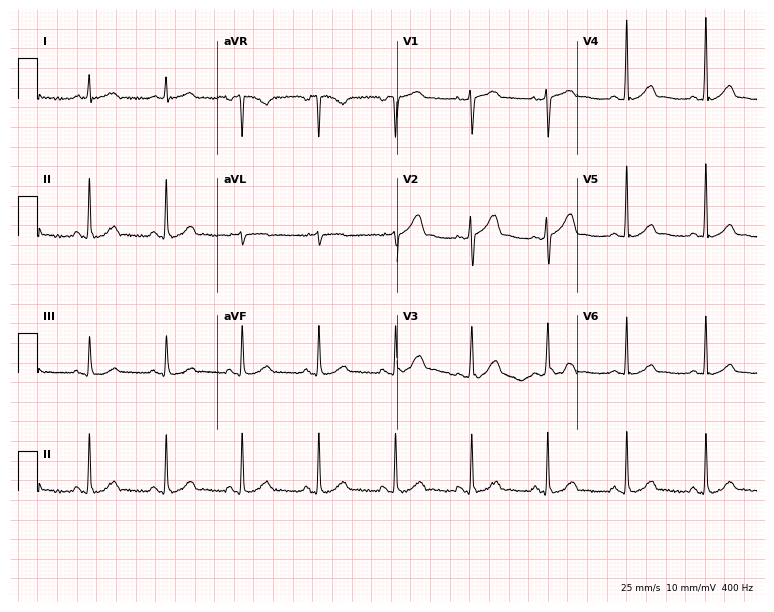
Resting 12-lead electrocardiogram (7.3-second recording at 400 Hz). Patient: a 44-year-old male. Read as a normal ECG.